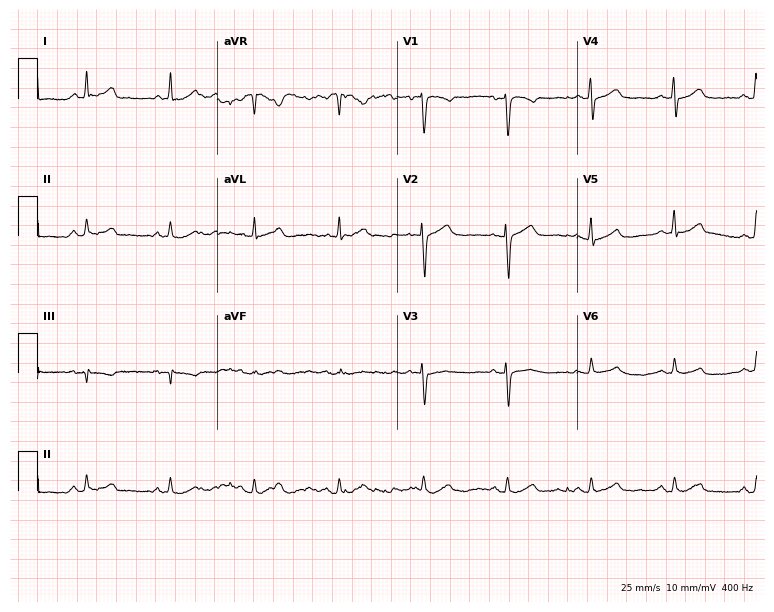
Standard 12-lead ECG recorded from a 50-year-old woman (7.3-second recording at 400 Hz). Read as a normal ECG.